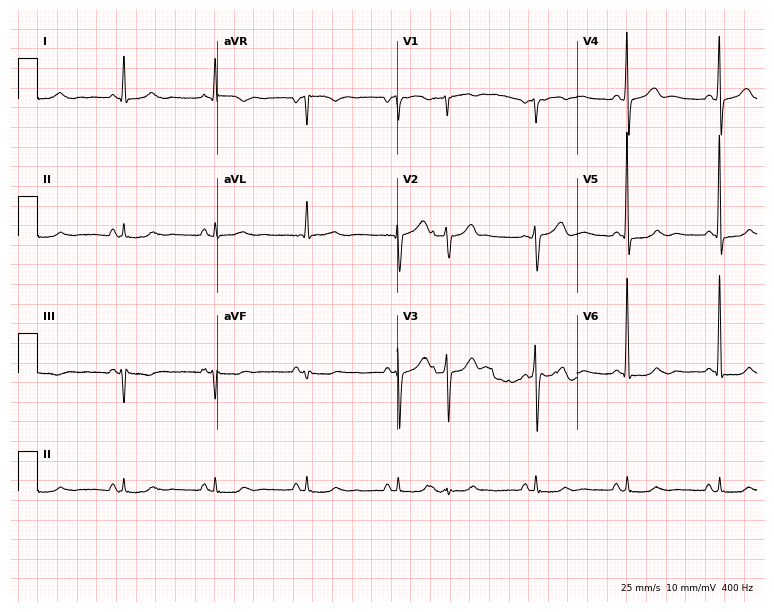
12-lead ECG from a male patient, 69 years old (7.3-second recording at 400 Hz). No first-degree AV block, right bundle branch block, left bundle branch block, sinus bradycardia, atrial fibrillation or sinus tachycardia recorded for this tracing.